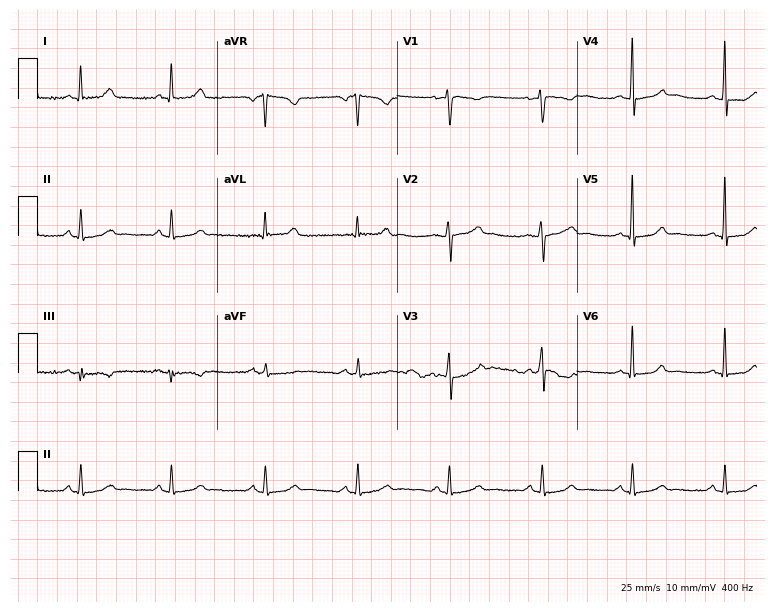
12-lead ECG from a female, 50 years old. No first-degree AV block, right bundle branch block (RBBB), left bundle branch block (LBBB), sinus bradycardia, atrial fibrillation (AF) or sinus tachycardia recorded for this tracing. Only these six findings were labelled.